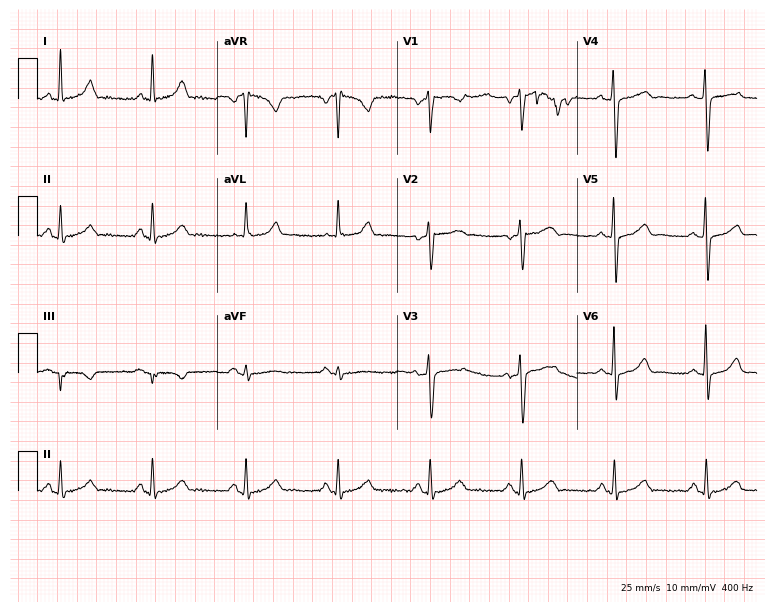
Electrocardiogram (7.3-second recording at 400 Hz), a 59-year-old female patient. Overall reading on record: normal ECG.